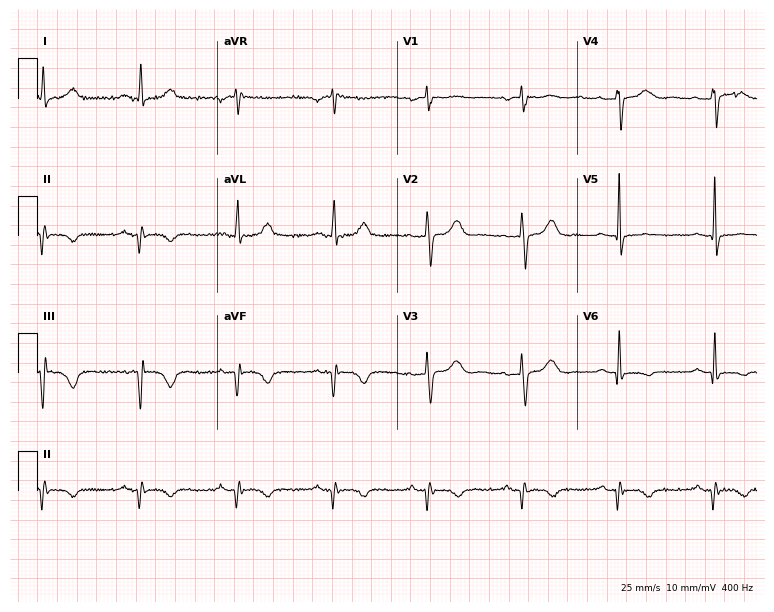
12-lead ECG from a 52-year-old woman (7.3-second recording at 400 Hz). No first-degree AV block, right bundle branch block (RBBB), left bundle branch block (LBBB), sinus bradycardia, atrial fibrillation (AF) or sinus tachycardia recorded for this tracing.